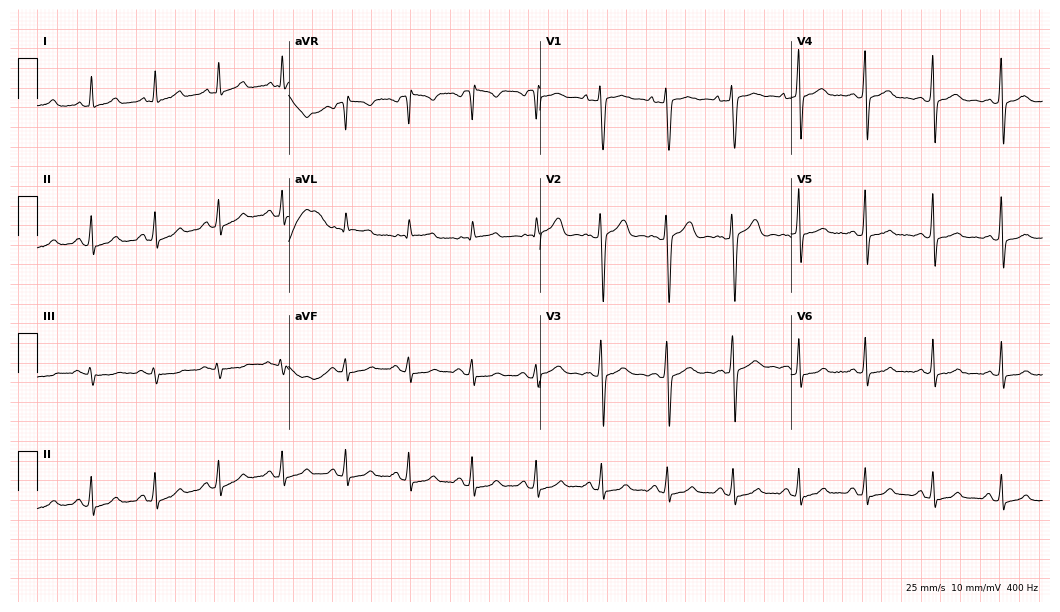
12-lead ECG from a female patient, 26 years old. Recorded interpretation: within normal limits.